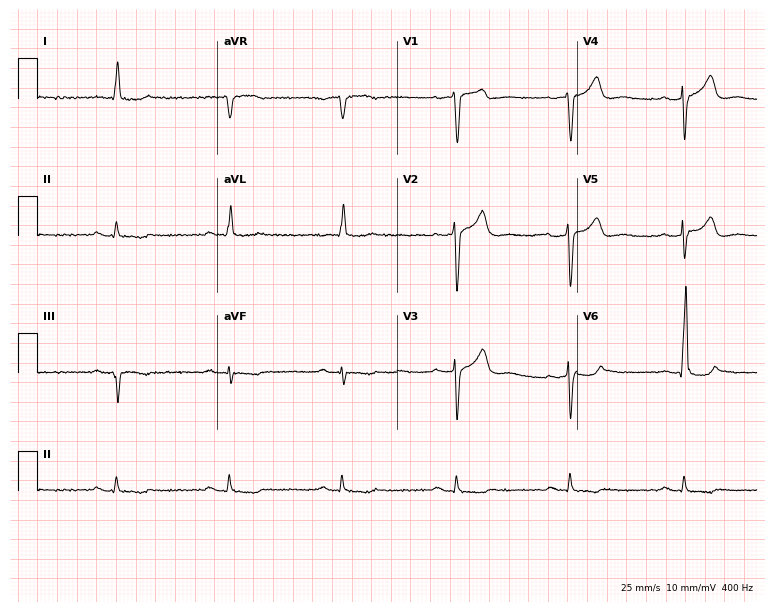
12-lead ECG from a man, 76 years old. Screened for six findings — first-degree AV block, right bundle branch block (RBBB), left bundle branch block (LBBB), sinus bradycardia, atrial fibrillation (AF), sinus tachycardia — none is recorded. Only these six findings were labelled.